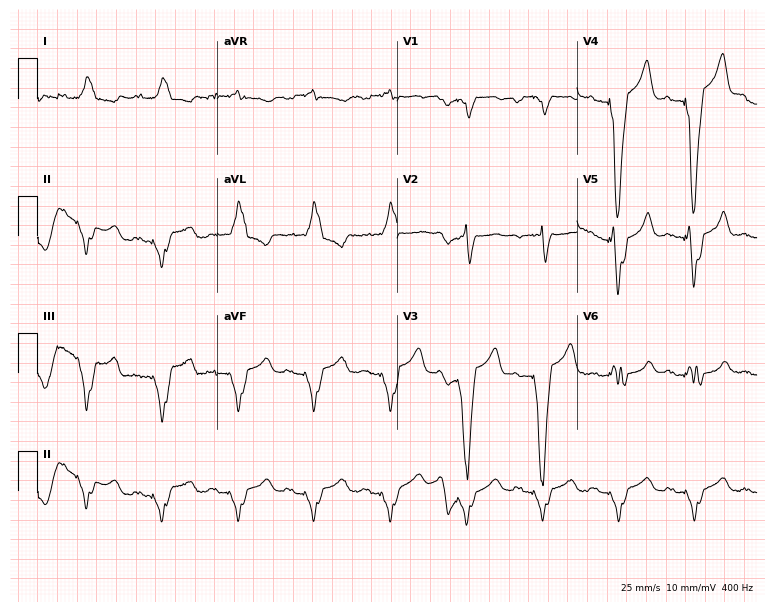
12-lead ECG from a male patient, 69 years old. Screened for six findings — first-degree AV block, right bundle branch block, left bundle branch block, sinus bradycardia, atrial fibrillation, sinus tachycardia — none is recorded.